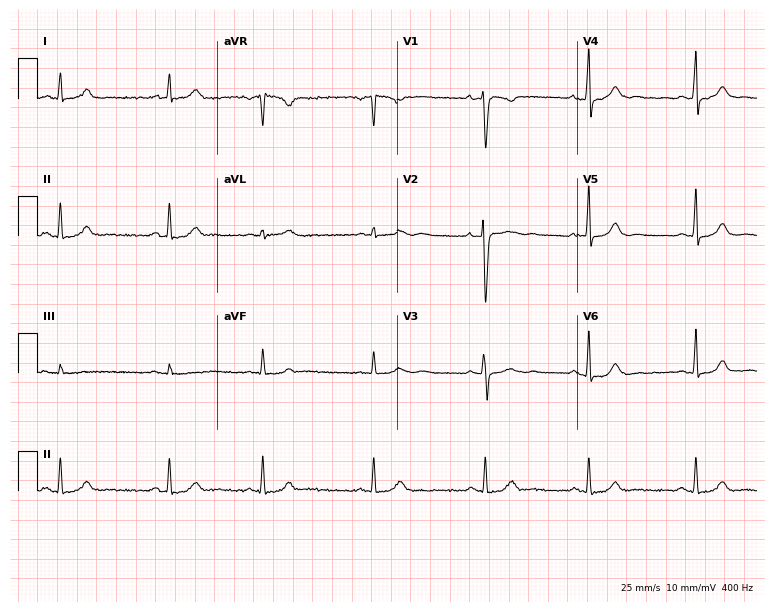
ECG — a 42-year-old woman. Labelled as a normal ECG.